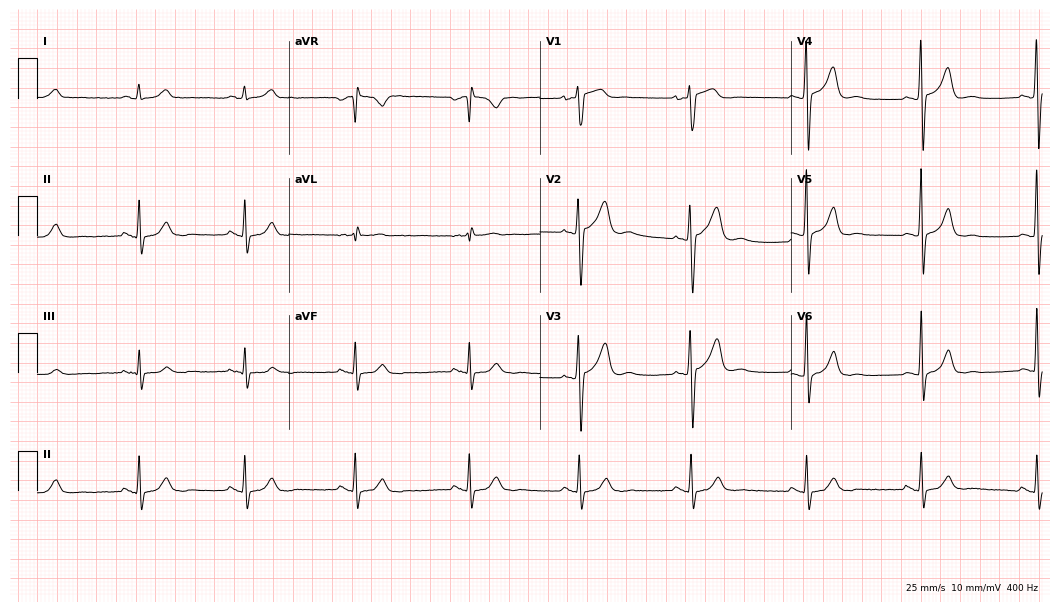
12-lead ECG from a 38-year-old male patient. No first-degree AV block, right bundle branch block (RBBB), left bundle branch block (LBBB), sinus bradycardia, atrial fibrillation (AF) or sinus tachycardia recorded for this tracing. Other findings, if any, are not listed.